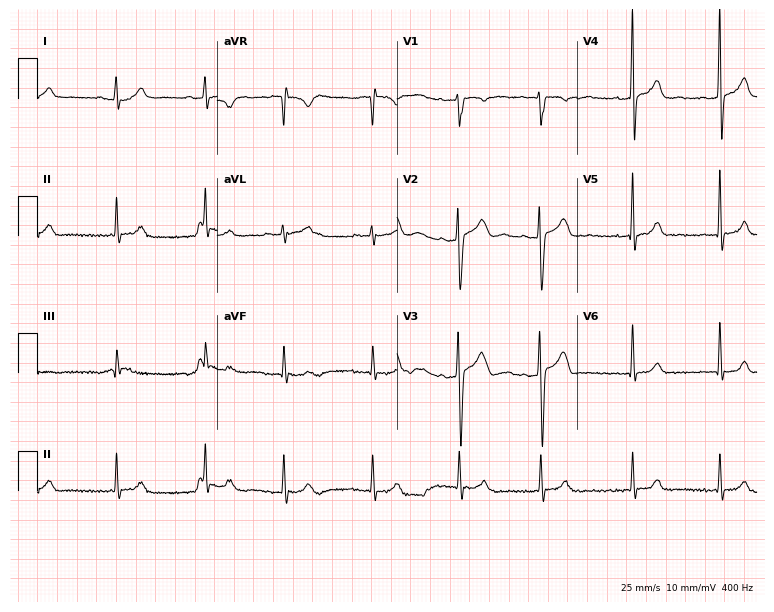
Resting 12-lead electrocardiogram. Patient: a 20-year-old male. None of these six findings is recorded: first-degree AV block, right bundle branch block, left bundle branch block, sinus bradycardia, atrial fibrillation, sinus tachycardia.